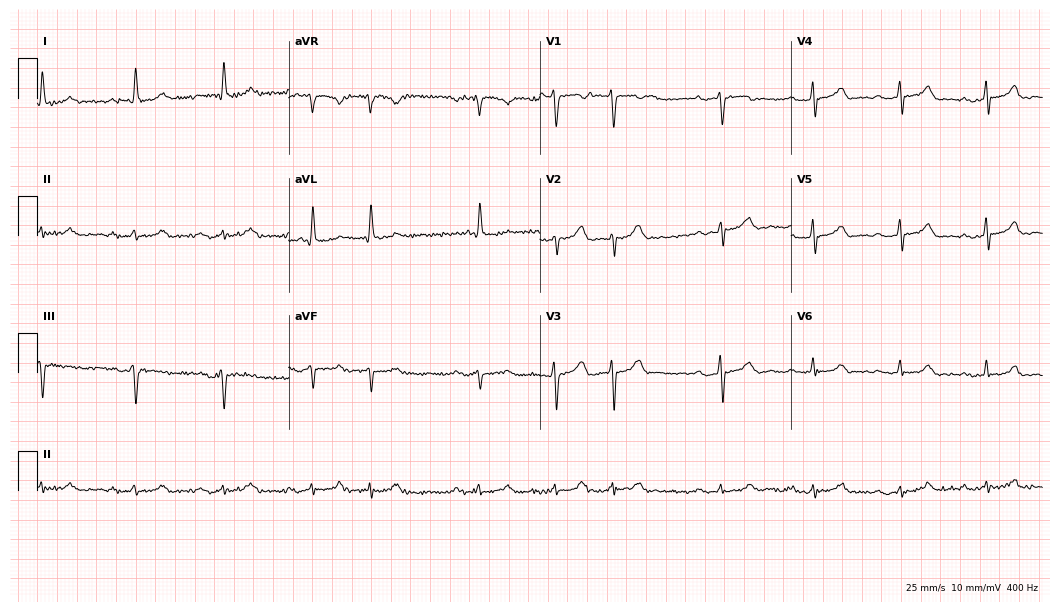
Standard 12-lead ECG recorded from a 76-year-old male. The tracing shows first-degree AV block.